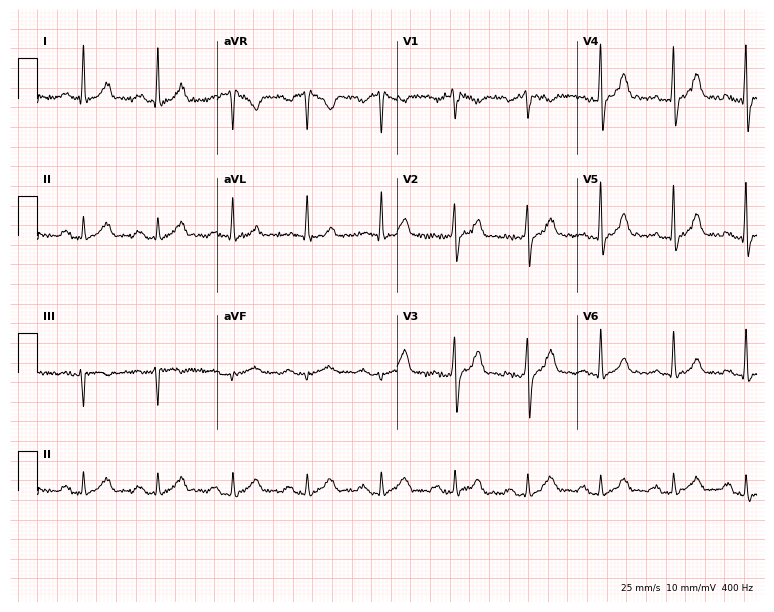
ECG — a 43-year-old man. Screened for six findings — first-degree AV block, right bundle branch block, left bundle branch block, sinus bradycardia, atrial fibrillation, sinus tachycardia — none is recorded.